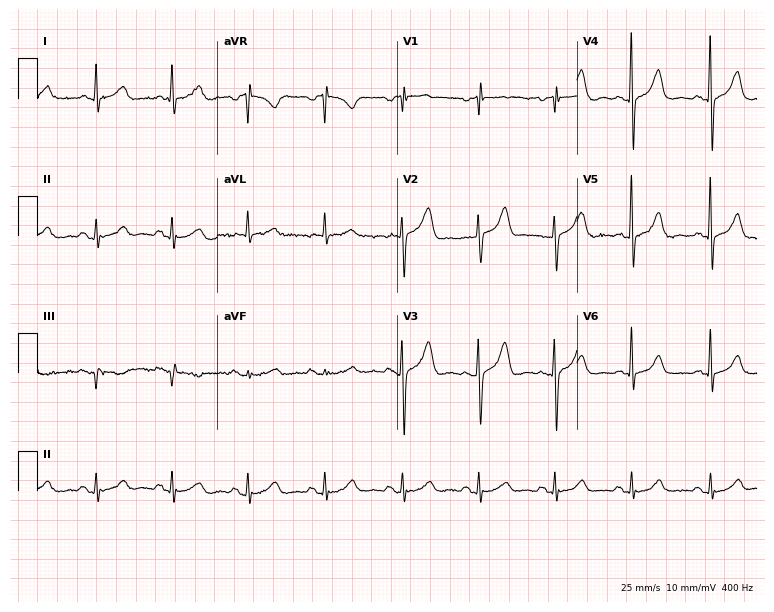
Resting 12-lead electrocardiogram. Patient: a female, 73 years old. None of these six findings is recorded: first-degree AV block, right bundle branch block (RBBB), left bundle branch block (LBBB), sinus bradycardia, atrial fibrillation (AF), sinus tachycardia.